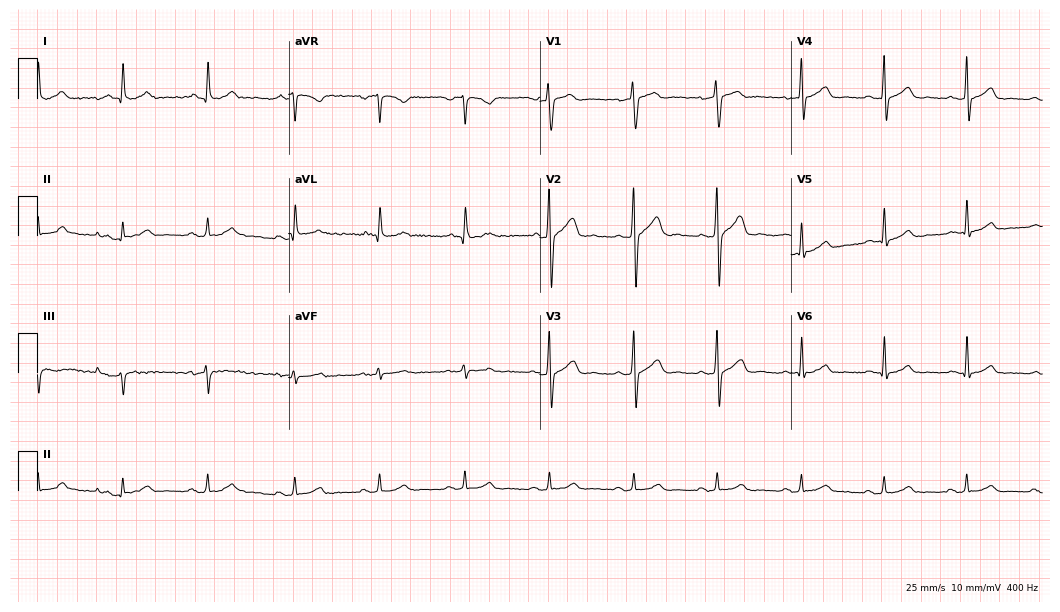
12-lead ECG from a male, 48 years old (10.2-second recording at 400 Hz). No first-degree AV block, right bundle branch block (RBBB), left bundle branch block (LBBB), sinus bradycardia, atrial fibrillation (AF) or sinus tachycardia recorded for this tracing. Only these six findings were labelled.